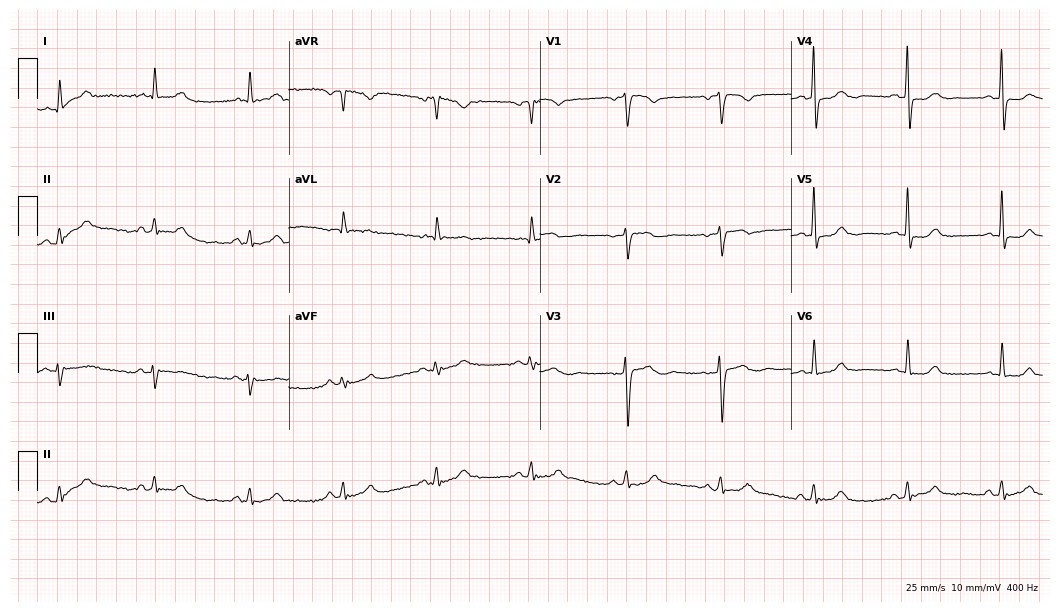
Standard 12-lead ECG recorded from an 82-year-old woman (10.2-second recording at 400 Hz). None of these six findings is recorded: first-degree AV block, right bundle branch block (RBBB), left bundle branch block (LBBB), sinus bradycardia, atrial fibrillation (AF), sinus tachycardia. Findings outside these six are not listed.